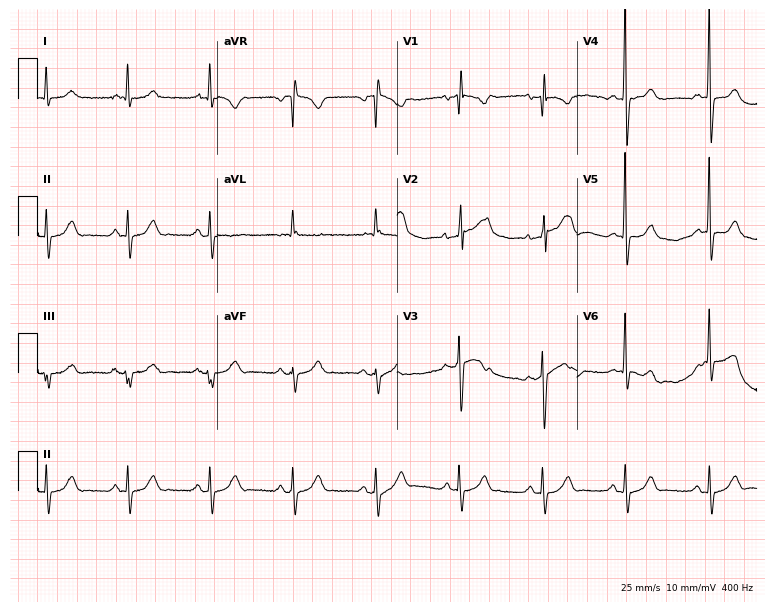
12-lead ECG from a male, 61 years old. Screened for six findings — first-degree AV block, right bundle branch block, left bundle branch block, sinus bradycardia, atrial fibrillation, sinus tachycardia — none is recorded.